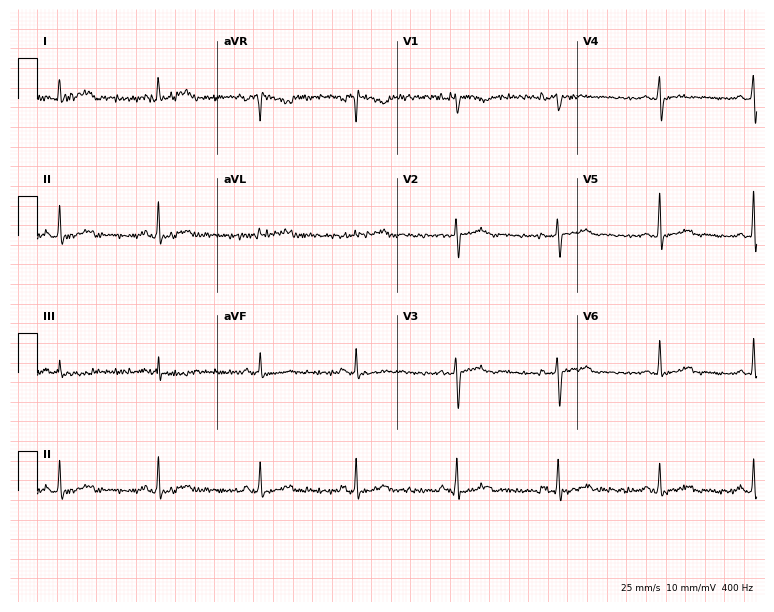
12-lead ECG from a female patient, 38 years old (7.3-second recording at 400 Hz). Recorded interpretation: within normal limits.